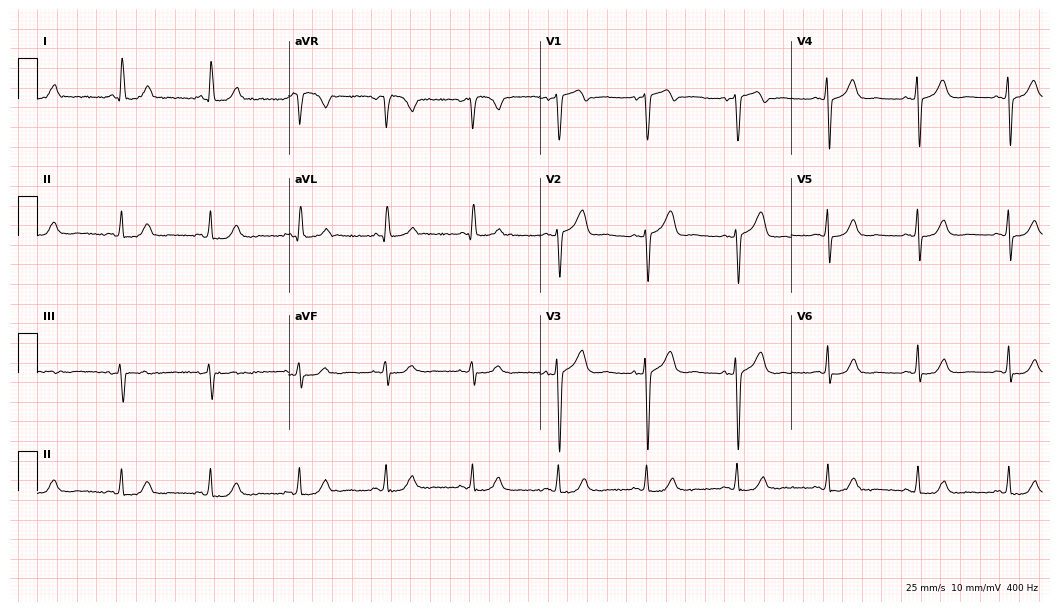
12-lead ECG from a 53-year-old female. No first-degree AV block, right bundle branch block, left bundle branch block, sinus bradycardia, atrial fibrillation or sinus tachycardia recorded for this tracing. Only these six findings were labelled.